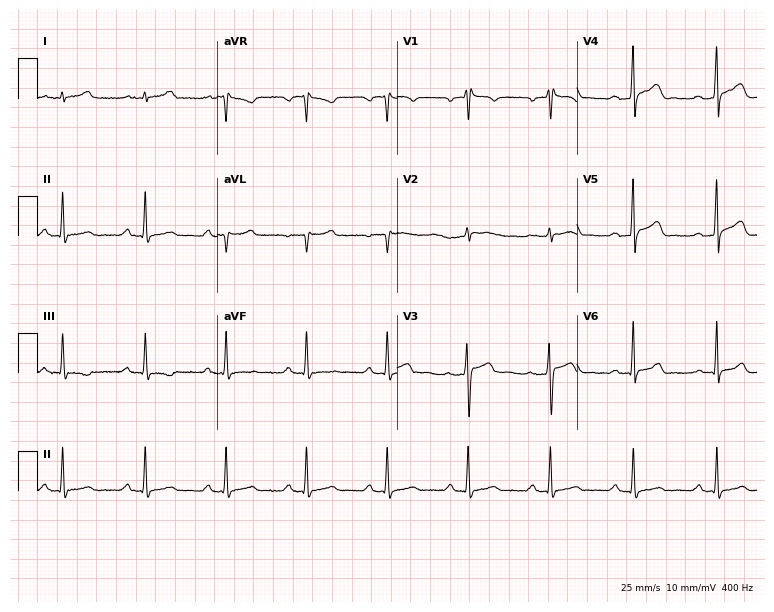
12-lead ECG (7.3-second recording at 400 Hz) from a male patient, 30 years old. Screened for six findings — first-degree AV block, right bundle branch block, left bundle branch block, sinus bradycardia, atrial fibrillation, sinus tachycardia — none is recorded.